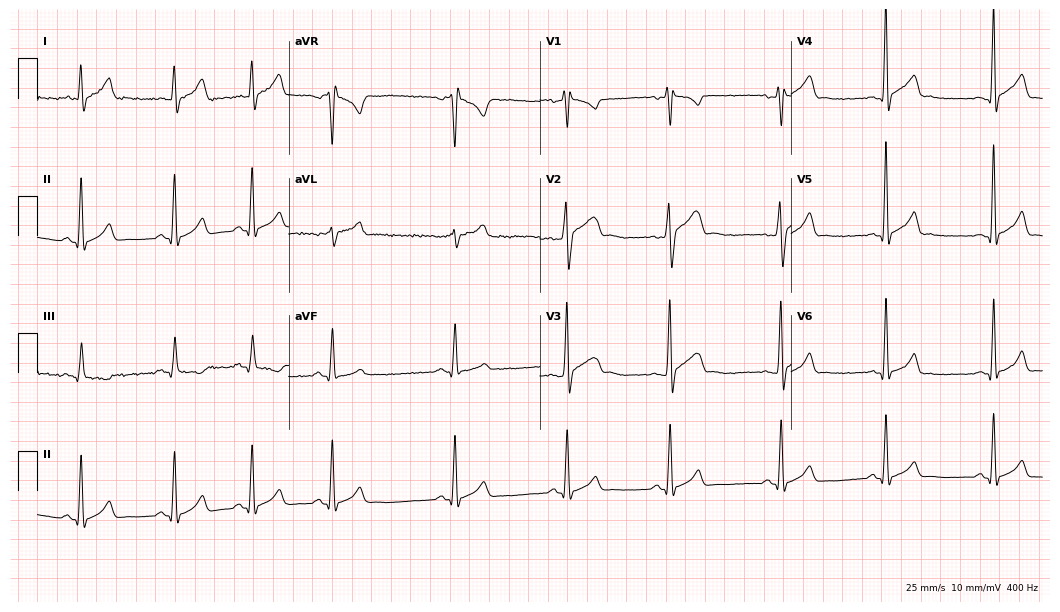
Electrocardiogram, a male, 23 years old. Of the six screened findings (first-degree AV block, right bundle branch block, left bundle branch block, sinus bradycardia, atrial fibrillation, sinus tachycardia), none is recorded.